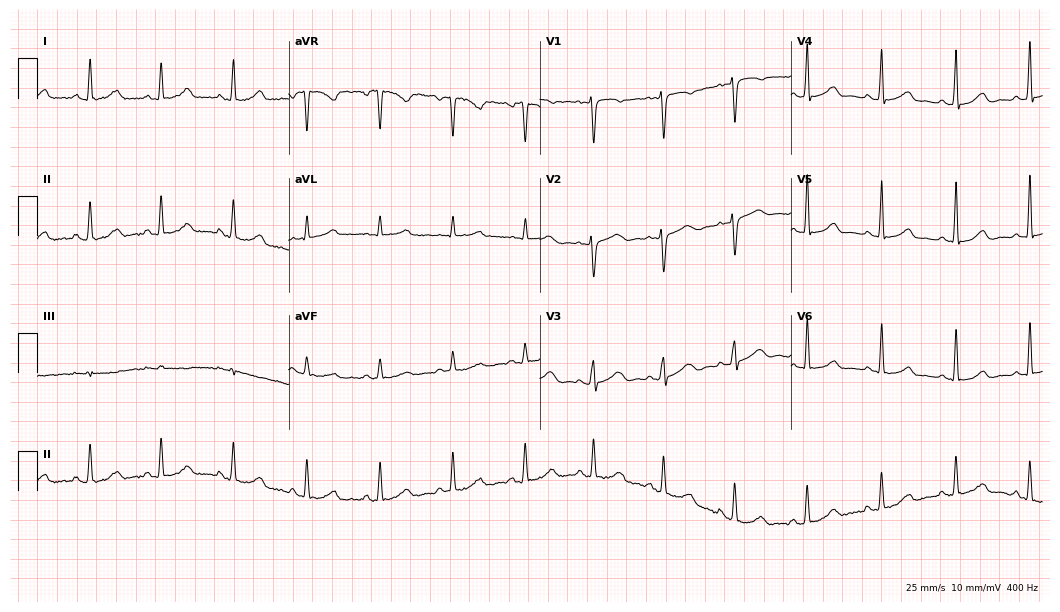
12-lead ECG from a 44-year-old woman. Recorded interpretation: within normal limits.